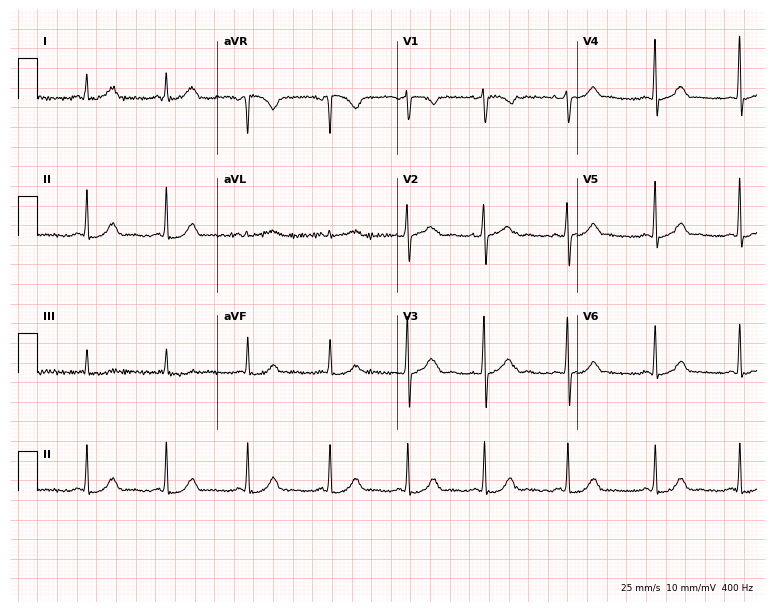
ECG — a 21-year-old woman. Labelled as a normal ECG.